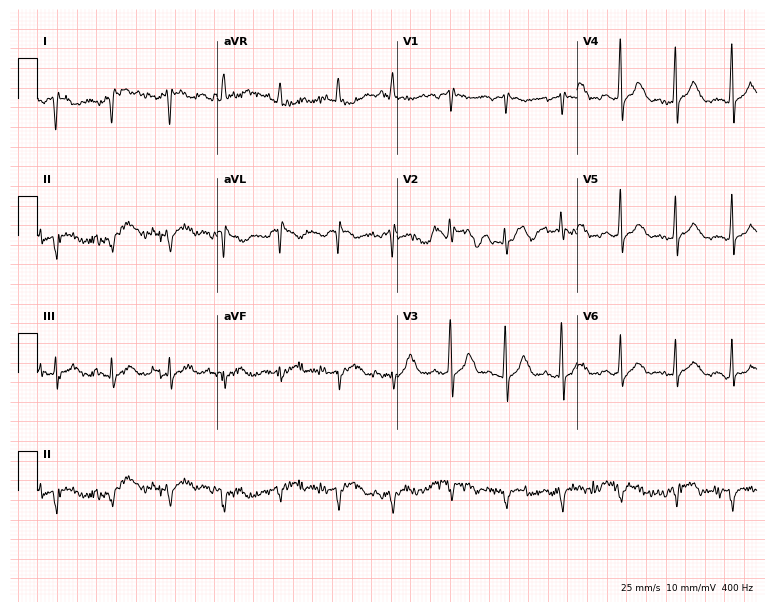
12-lead ECG from a female patient, 76 years old (7.3-second recording at 400 Hz). No first-degree AV block, right bundle branch block, left bundle branch block, sinus bradycardia, atrial fibrillation or sinus tachycardia recorded for this tracing.